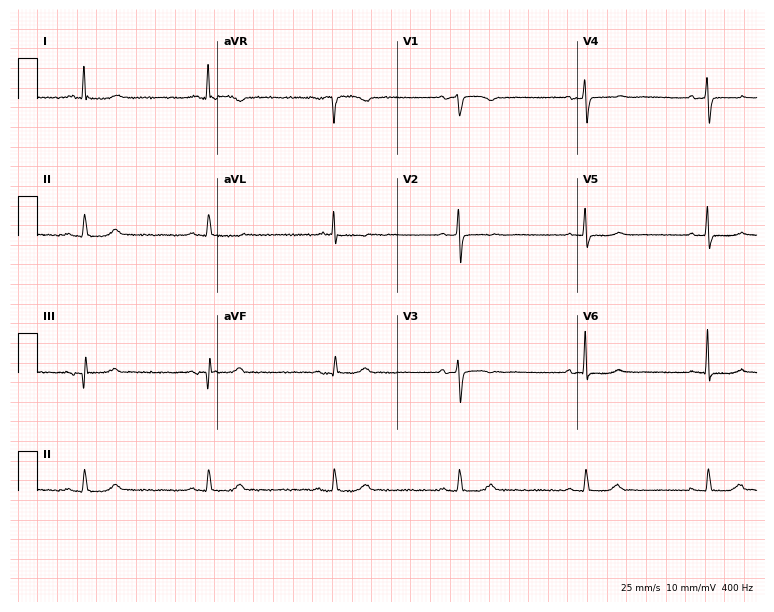
ECG (7.3-second recording at 400 Hz) — a female, 69 years old. Findings include sinus bradycardia (a sinus rate of 50 beats per minute or less).